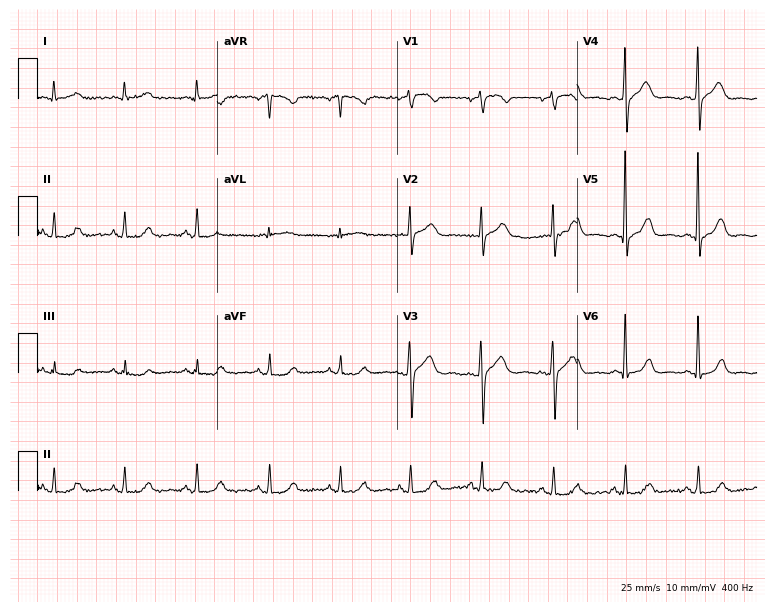
12-lead ECG (7.3-second recording at 400 Hz) from a woman, 62 years old. Labelled as a normal ECG.